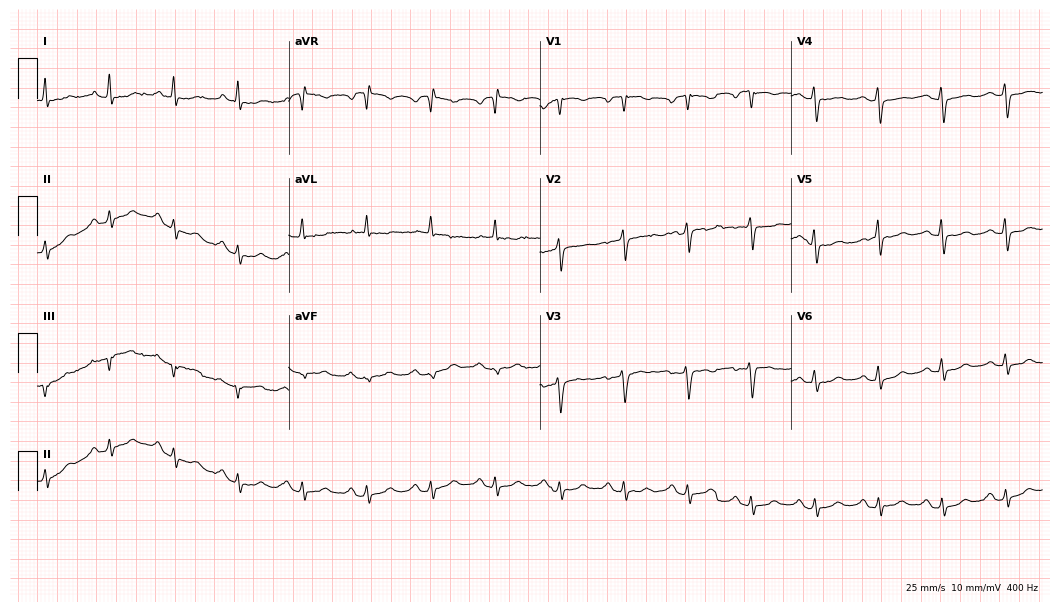
Resting 12-lead electrocardiogram. Patient: a female, 63 years old. None of these six findings is recorded: first-degree AV block, right bundle branch block, left bundle branch block, sinus bradycardia, atrial fibrillation, sinus tachycardia. Other findings, if any, are not listed.